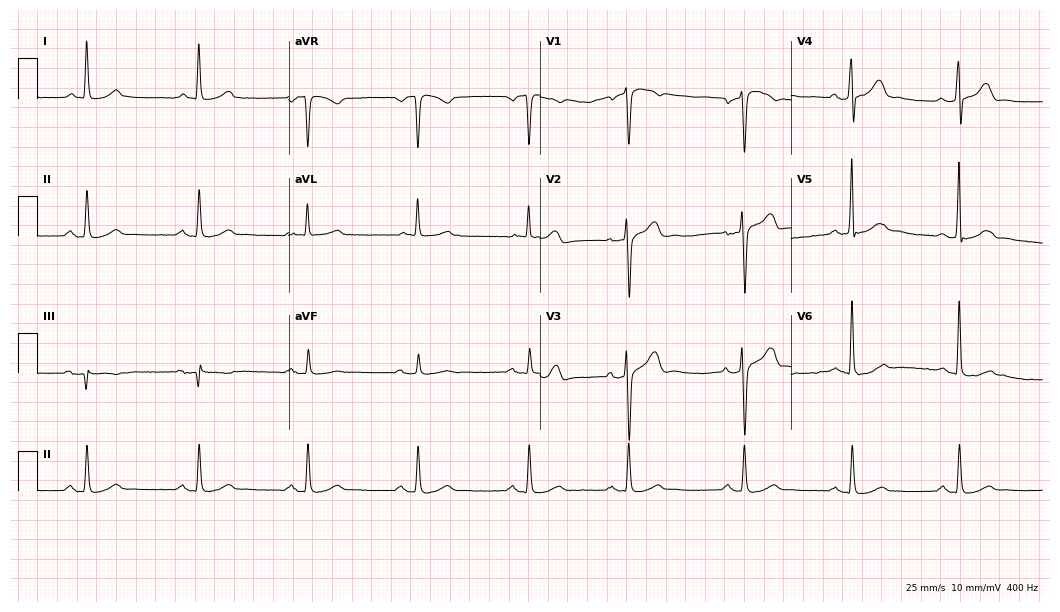
Standard 12-lead ECG recorded from a 54-year-old male. Read as a normal ECG.